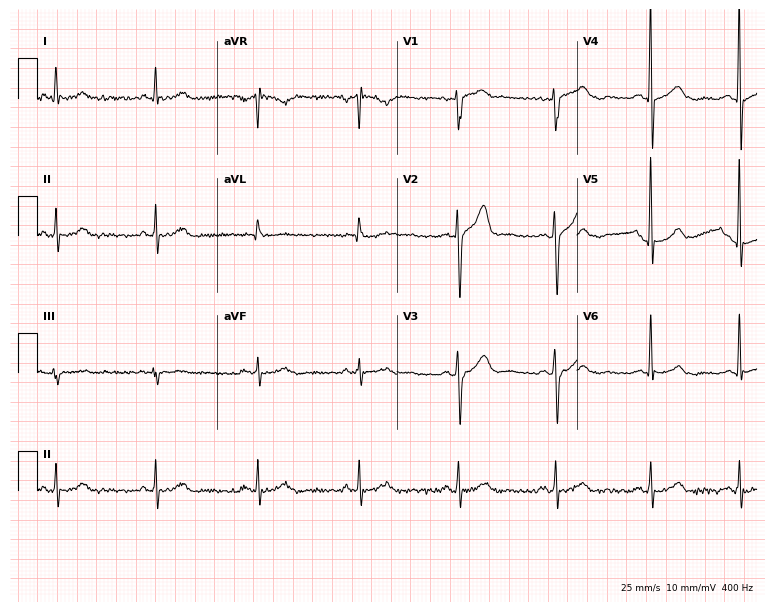
Electrocardiogram (7.3-second recording at 400 Hz), a man, 66 years old. Overall reading on record: normal ECG.